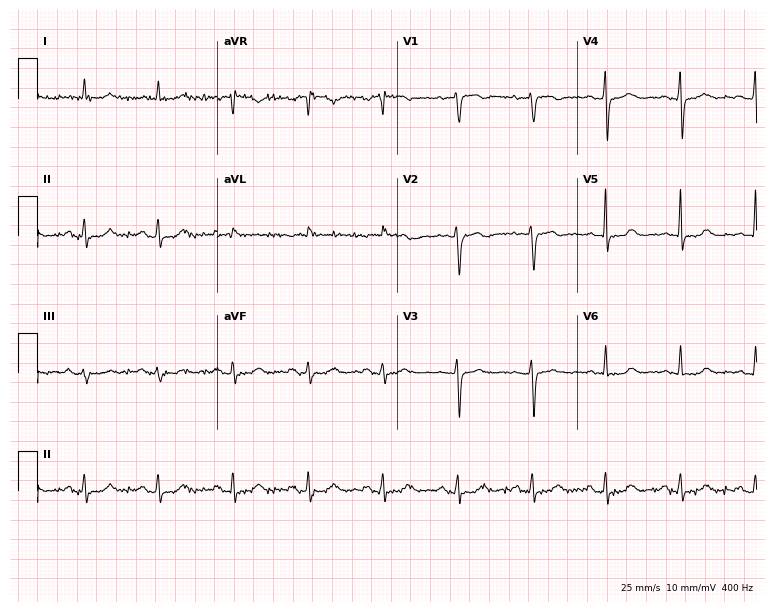
12-lead ECG from a female, 79 years old. No first-degree AV block, right bundle branch block (RBBB), left bundle branch block (LBBB), sinus bradycardia, atrial fibrillation (AF) or sinus tachycardia recorded for this tracing.